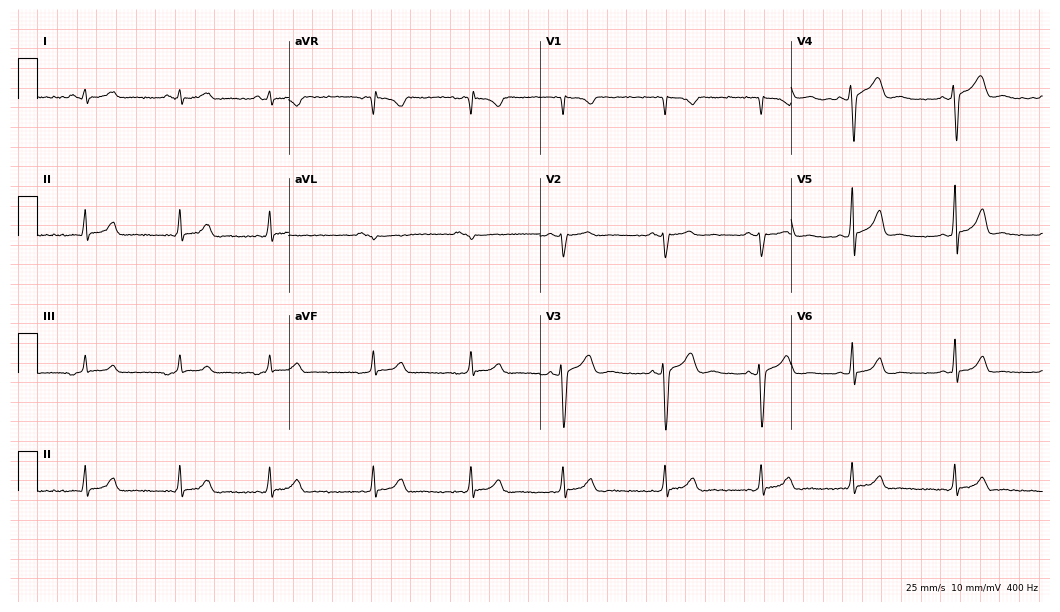
ECG (10.2-second recording at 400 Hz) — a 17-year-old male patient. Screened for six findings — first-degree AV block, right bundle branch block (RBBB), left bundle branch block (LBBB), sinus bradycardia, atrial fibrillation (AF), sinus tachycardia — none is recorded.